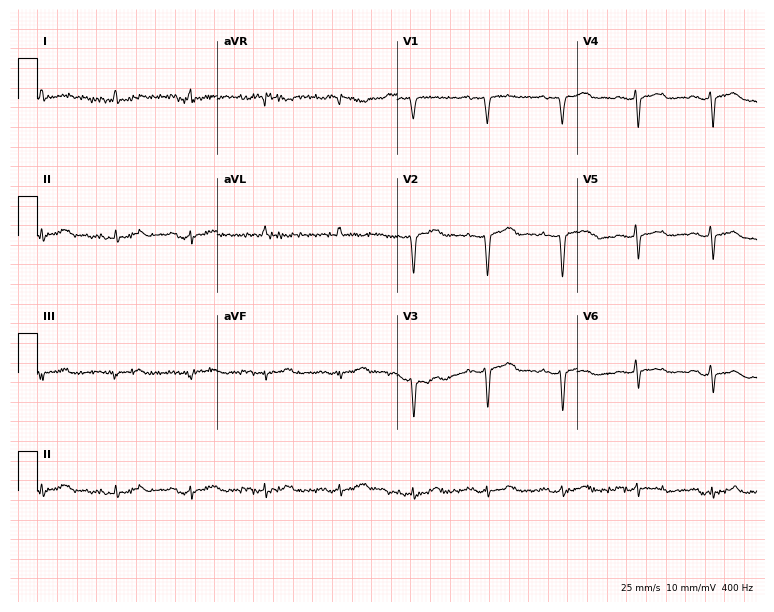
Resting 12-lead electrocardiogram (7.3-second recording at 400 Hz). Patient: a male, 62 years old. None of these six findings is recorded: first-degree AV block, right bundle branch block, left bundle branch block, sinus bradycardia, atrial fibrillation, sinus tachycardia.